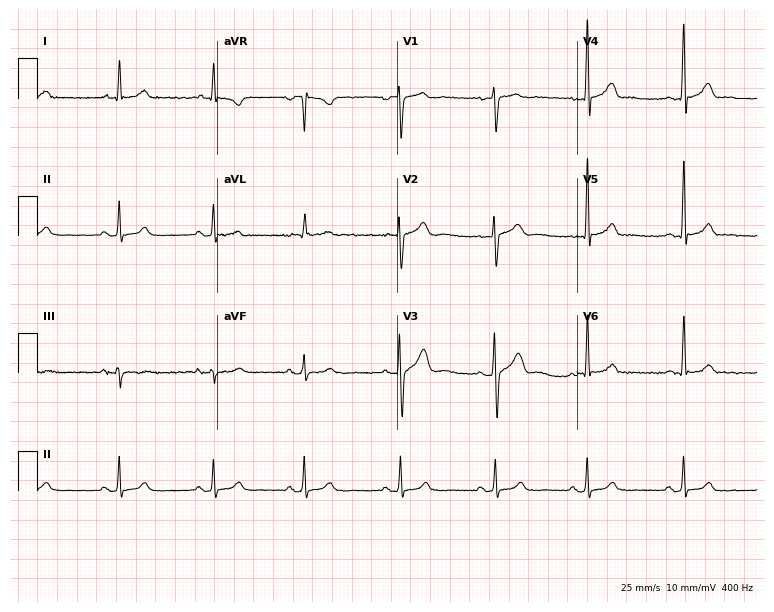
Resting 12-lead electrocardiogram (7.3-second recording at 400 Hz). Patient: a man, 39 years old. Read as a normal ECG.